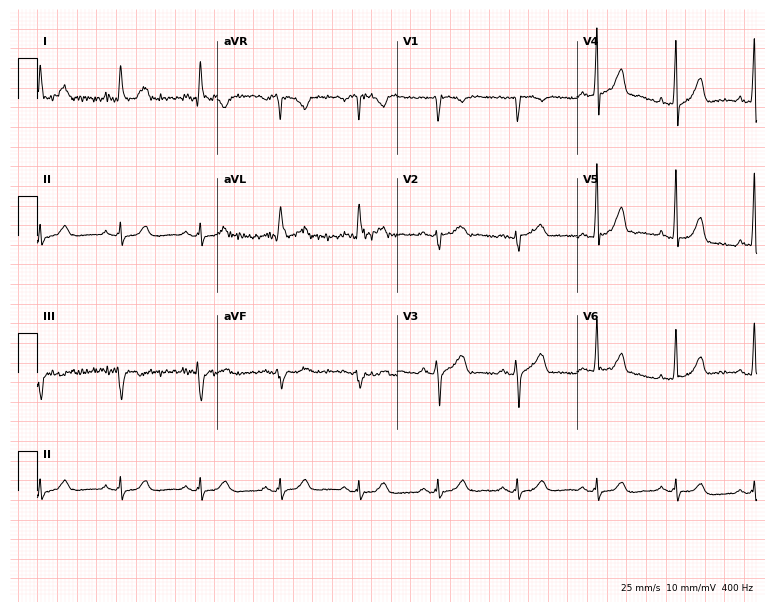
12-lead ECG from a man, 56 years old. Labelled as a normal ECG.